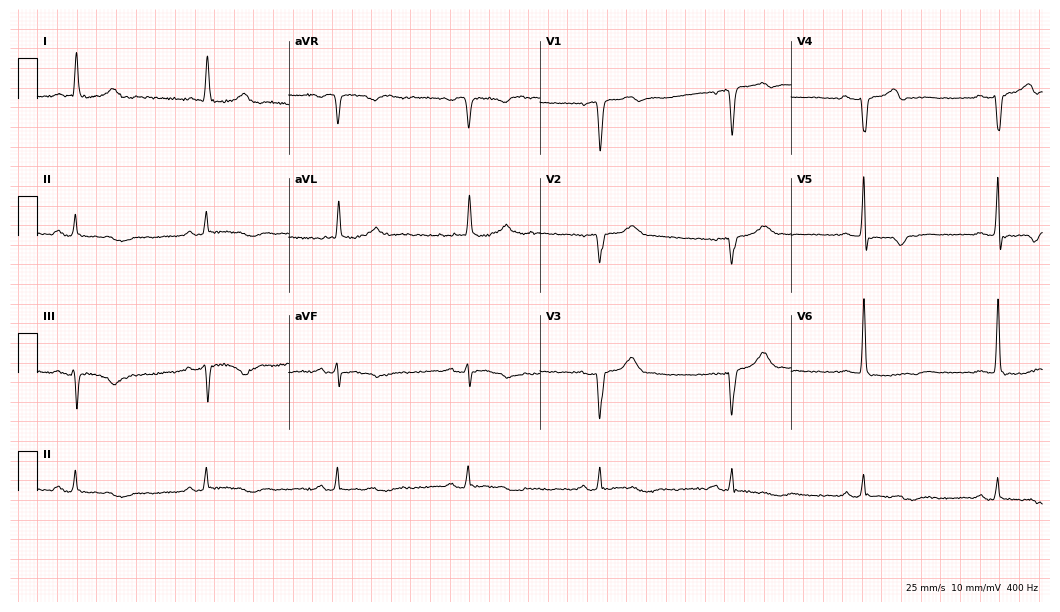
12-lead ECG from a male patient, 80 years old. Findings include right bundle branch block.